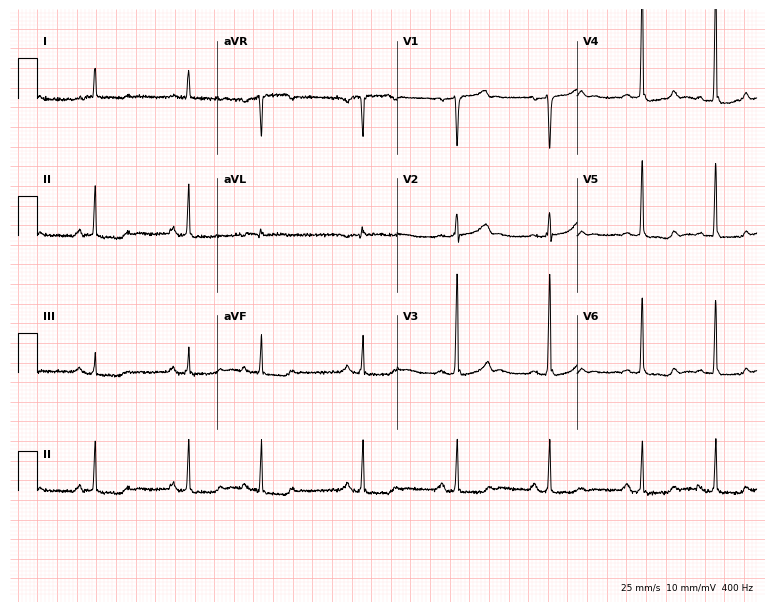
Resting 12-lead electrocardiogram (7.3-second recording at 400 Hz). Patient: a male, 65 years old. None of these six findings is recorded: first-degree AV block, right bundle branch block, left bundle branch block, sinus bradycardia, atrial fibrillation, sinus tachycardia. Findings outside these six are not listed.